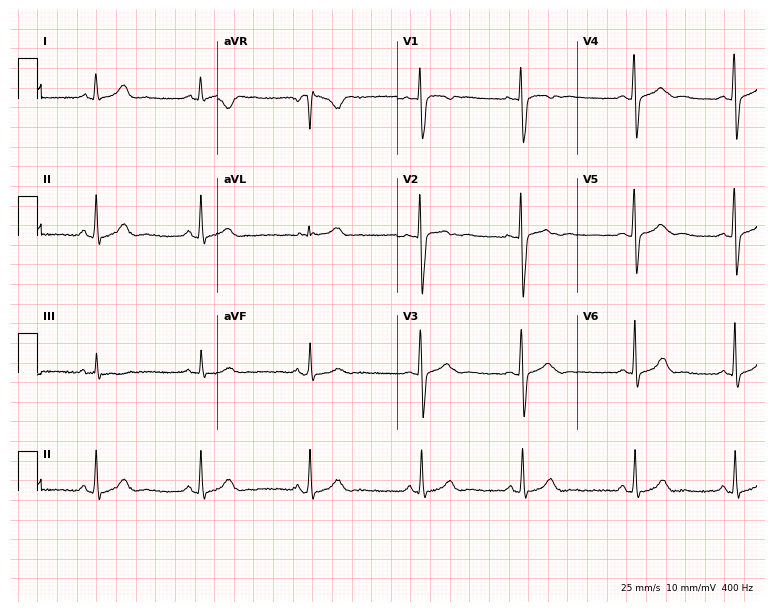
12-lead ECG from a woman, 24 years old. Recorded interpretation: within normal limits.